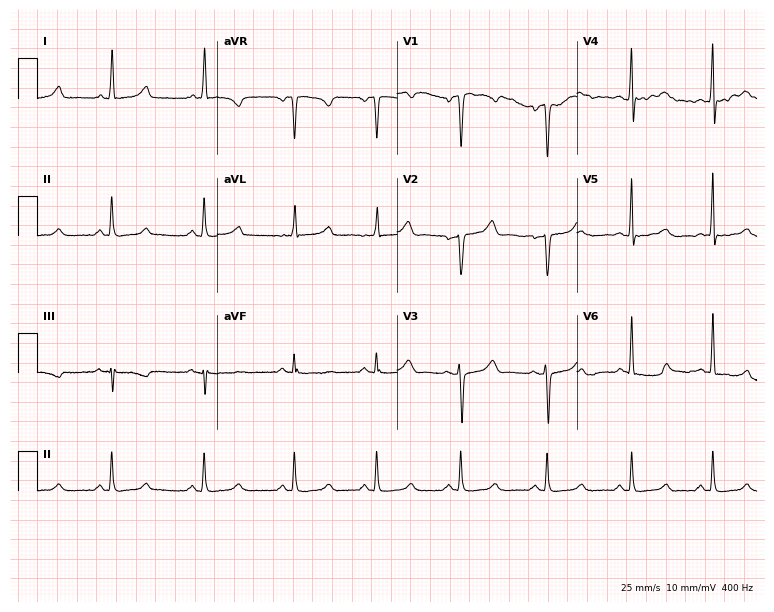
Resting 12-lead electrocardiogram (7.3-second recording at 400 Hz). Patient: a man, 36 years old. None of these six findings is recorded: first-degree AV block, right bundle branch block (RBBB), left bundle branch block (LBBB), sinus bradycardia, atrial fibrillation (AF), sinus tachycardia. Only these six findings were labelled.